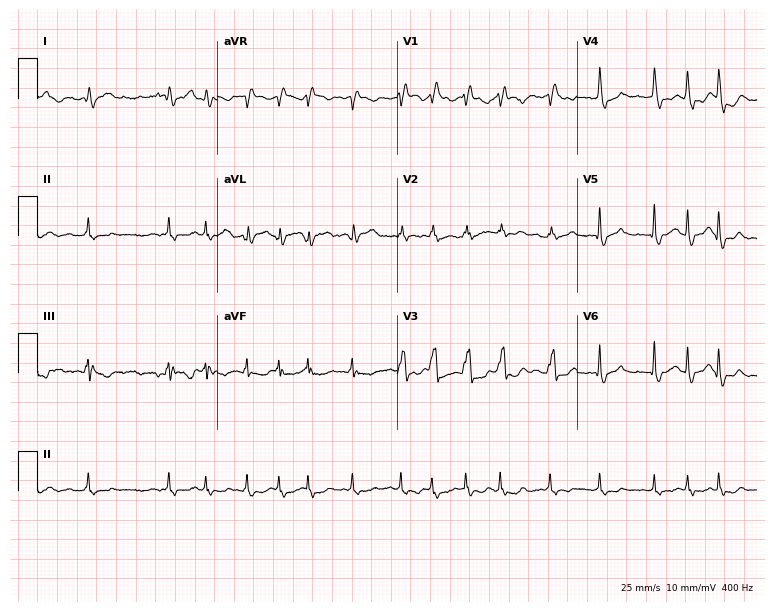
Resting 12-lead electrocardiogram. Patient: a 72-year-old female. The tracing shows atrial fibrillation (AF).